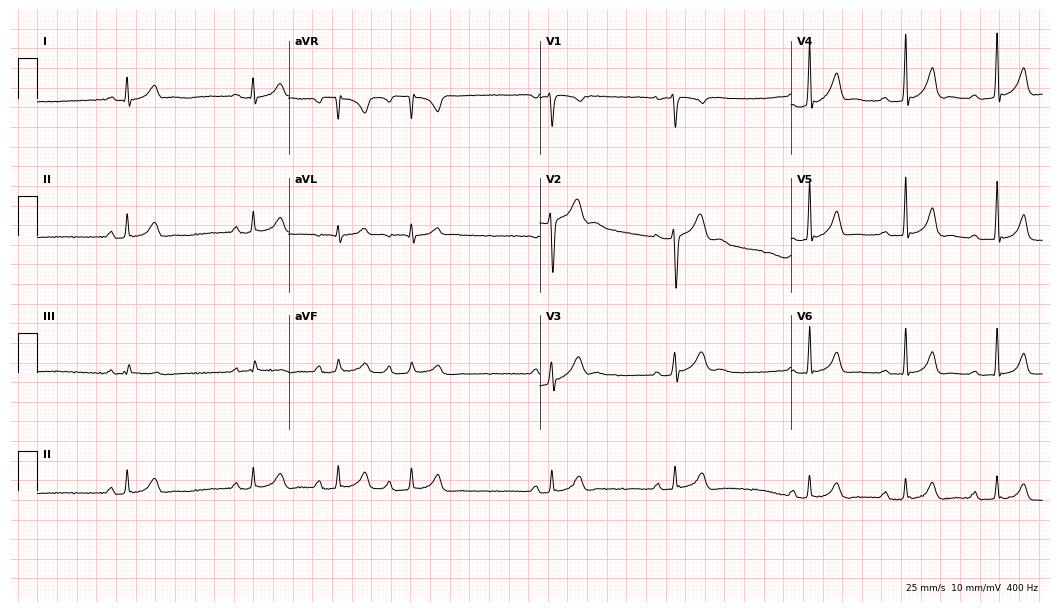
Resting 12-lead electrocardiogram. Patient: a 21-year-old male. Read as a normal ECG.